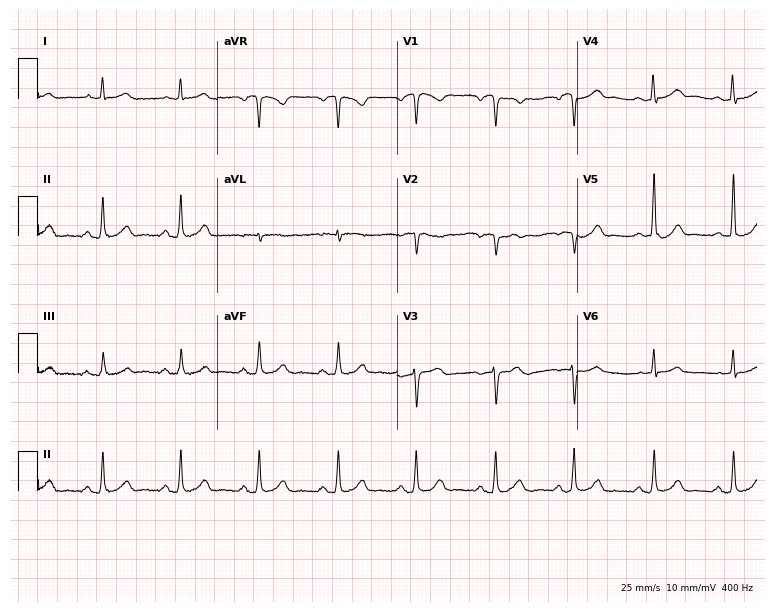
Standard 12-lead ECG recorded from a man, 76 years old (7.3-second recording at 400 Hz). Read as a normal ECG.